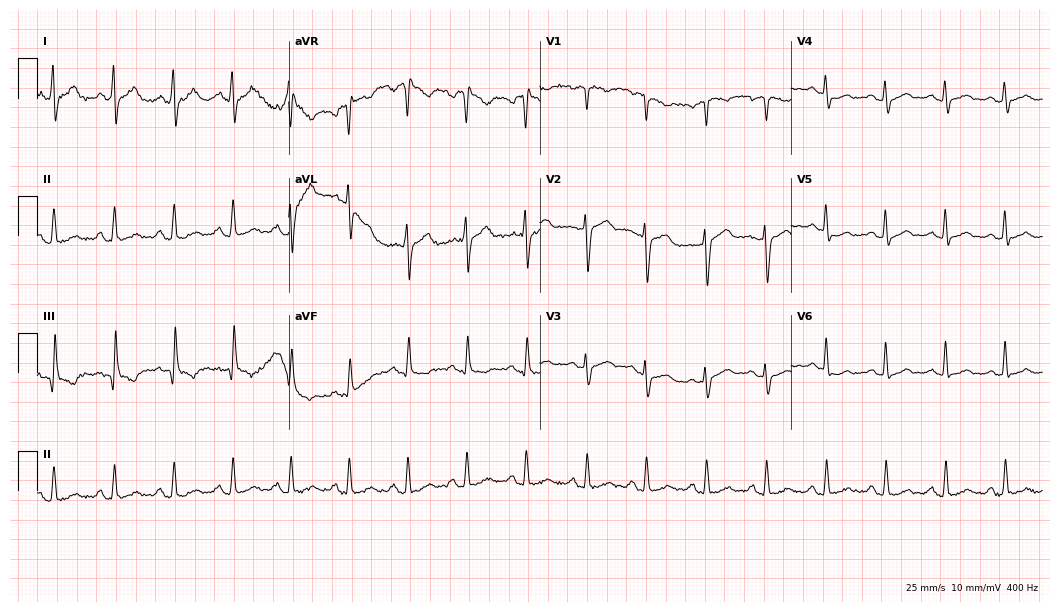
12-lead ECG (10.2-second recording at 400 Hz) from a 34-year-old woman. Screened for six findings — first-degree AV block, right bundle branch block, left bundle branch block, sinus bradycardia, atrial fibrillation, sinus tachycardia — none is recorded.